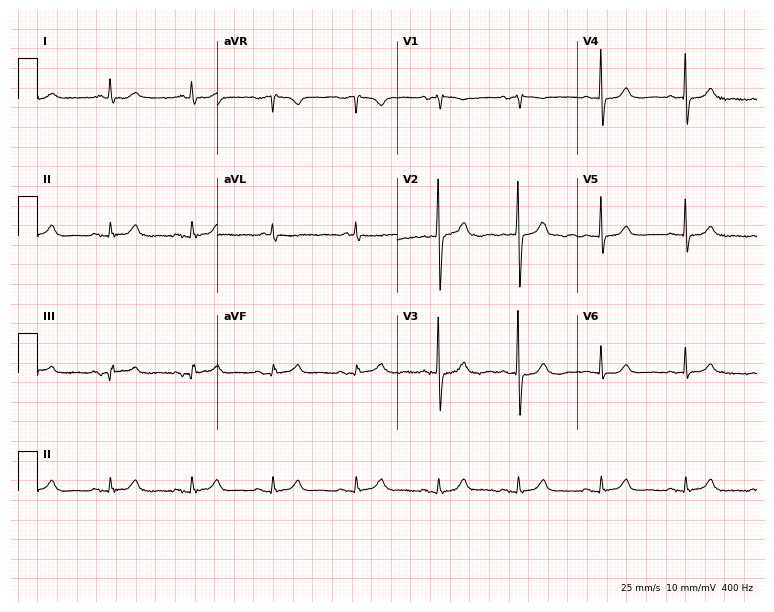
Standard 12-lead ECG recorded from a woman, 64 years old. None of these six findings is recorded: first-degree AV block, right bundle branch block (RBBB), left bundle branch block (LBBB), sinus bradycardia, atrial fibrillation (AF), sinus tachycardia.